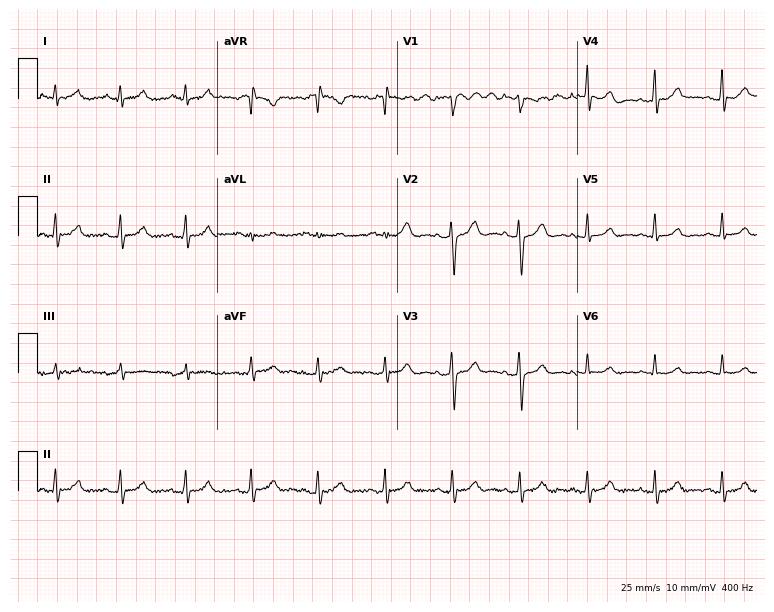
Standard 12-lead ECG recorded from a 63-year-old female. Read as a normal ECG.